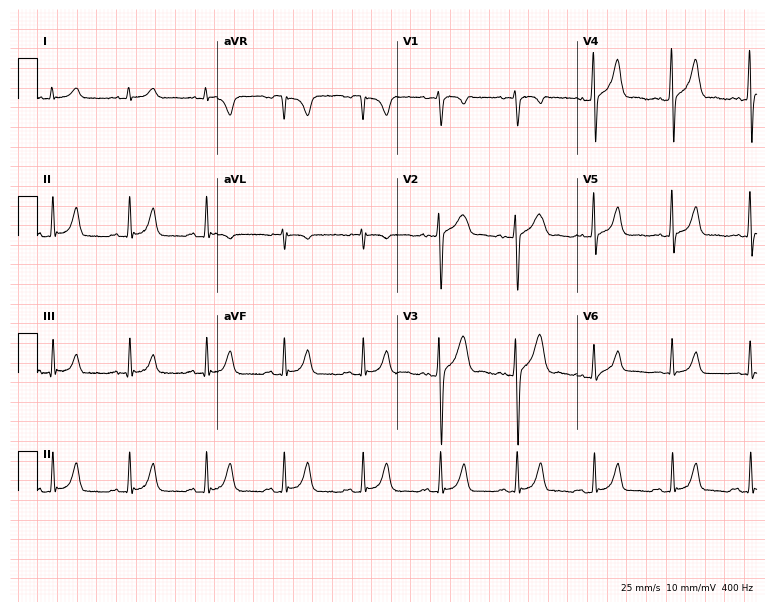
Electrocardiogram, a 37-year-old male. Overall reading on record: normal ECG.